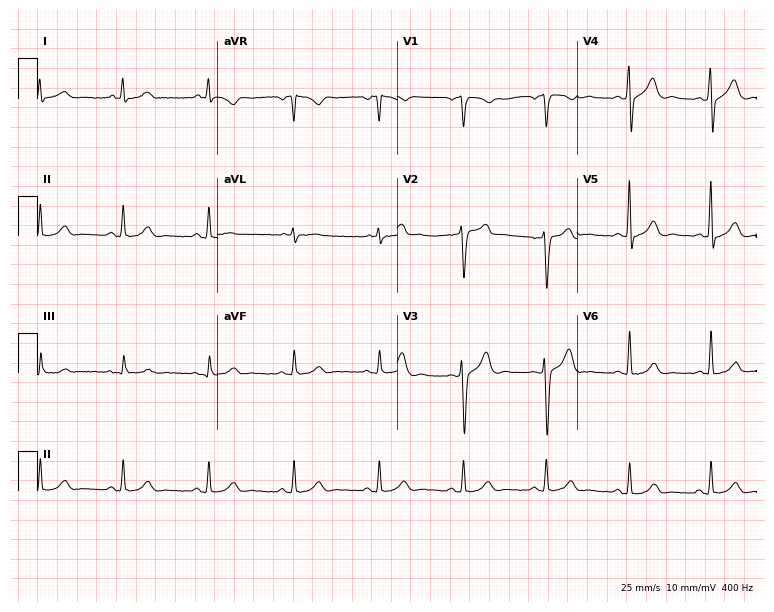
Resting 12-lead electrocardiogram (7.3-second recording at 400 Hz). Patient: a 52-year-old male. None of these six findings is recorded: first-degree AV block, right bundle branch block, left bundle branch block, sinus bradycardia, atrial fibrillation, sinus tachycardia.